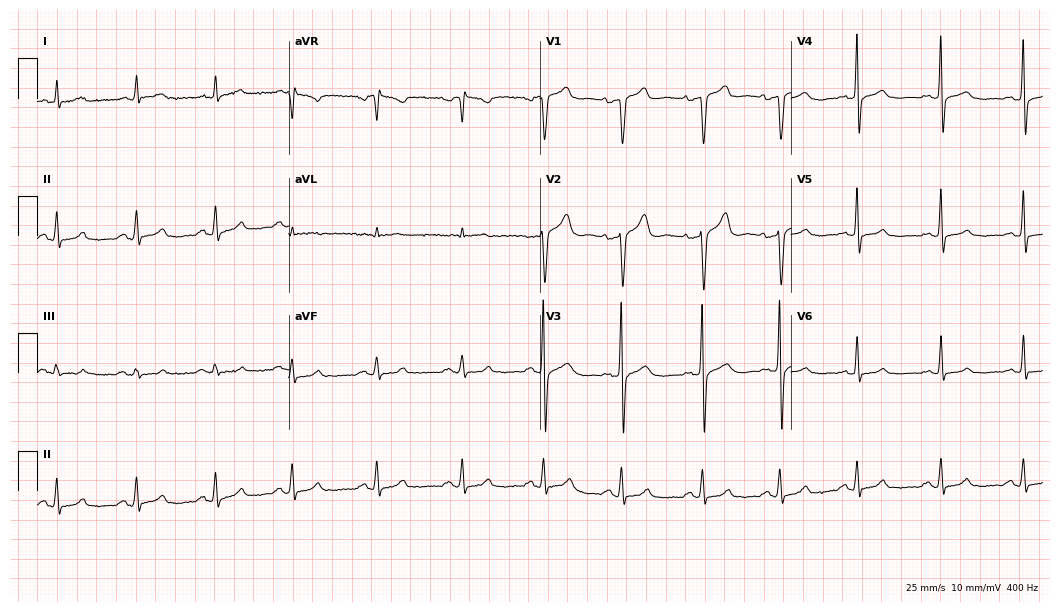
Standard 12-lead ECG recorded from a 46-year-old male patient (10.2-second recording at 400 Hz). None of these six findings is recorded: first-degree AV block, right bundle branch block (RBBB), left bundle branch block (LBBB), sinus bradycardia, atrial fibrillation (AF), sinus tachycardia.